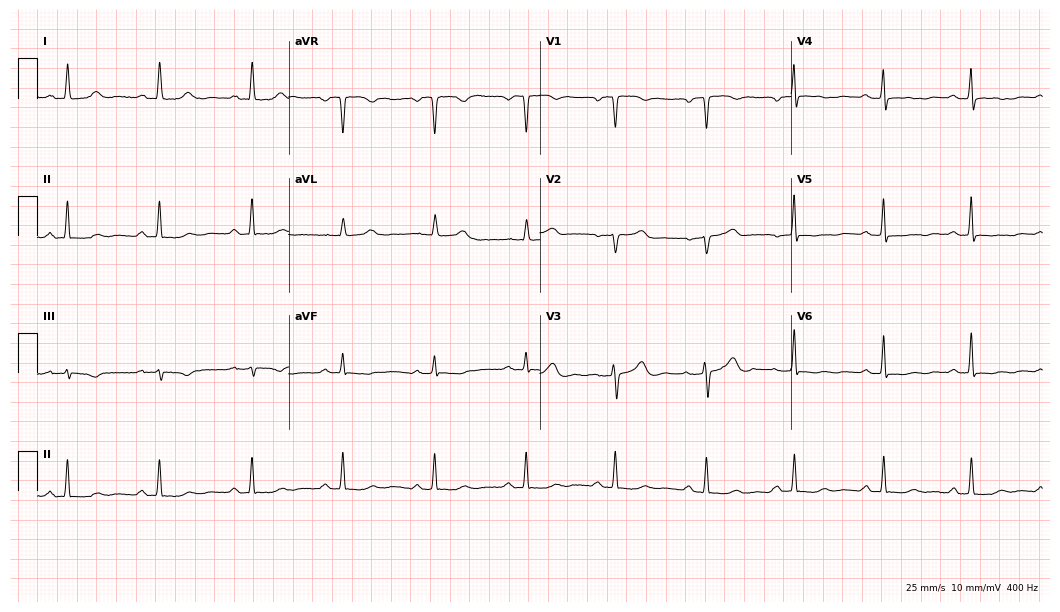
Resting 12-lead electrocardiogram. Patient: a 75-year-old female. None of these six findings is recorded: first-degree AV block, right bundle branch block, left bundle branch block, sinus bradycardia, atrial fibrillation, sinus tachycardia.